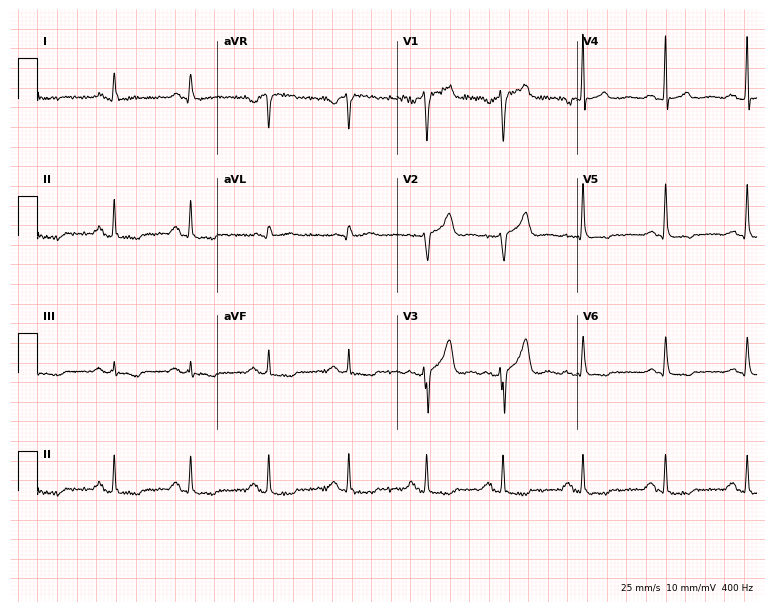
12-lead ECG from a 52-year-old male patient. Labelled as a normal ECG.